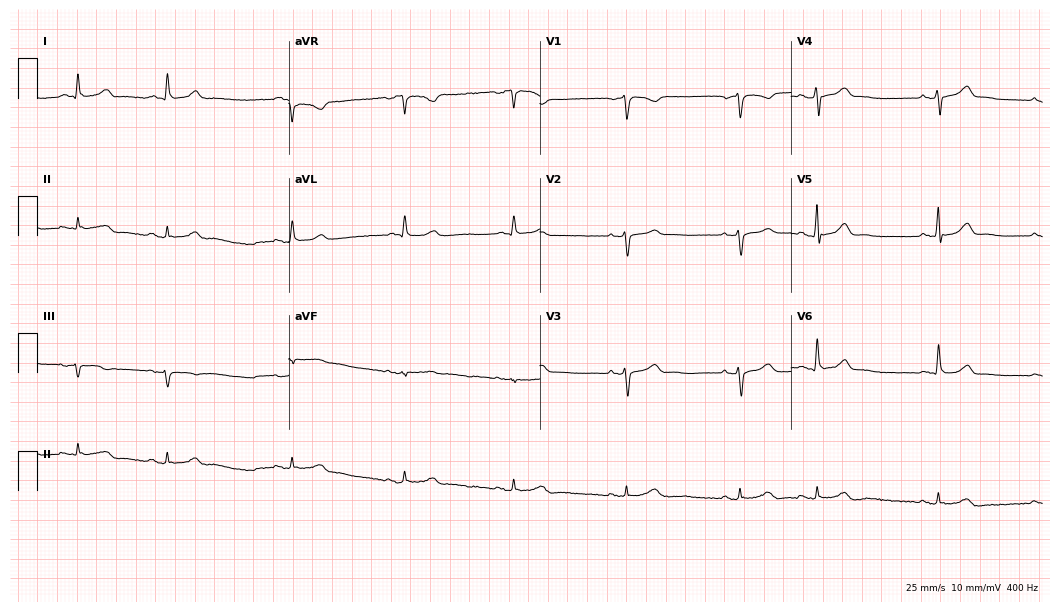
Standard 12-lead ECG recorded from a 54-year-old male (10.2-second recording at 400 Hz). None of these six findings is recorded: first-degree AV block, right bundle branch block (RBBB), left bundle branch block (LBBB), sinus bradycardia, atrial fibrillation (AF), sinus tachycardia. Other findings, if any, are not listed.